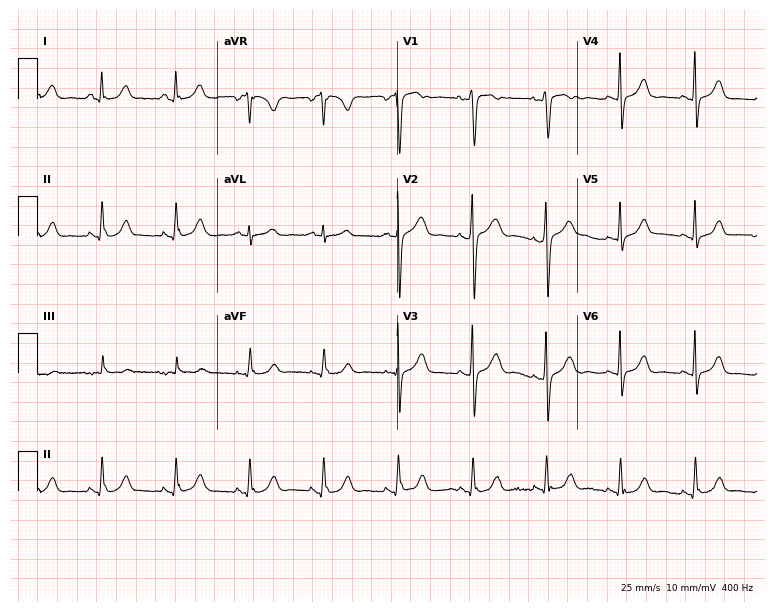
12-lead ECG from a 53-year-old woman. Recorded interpretation: within normal limits.